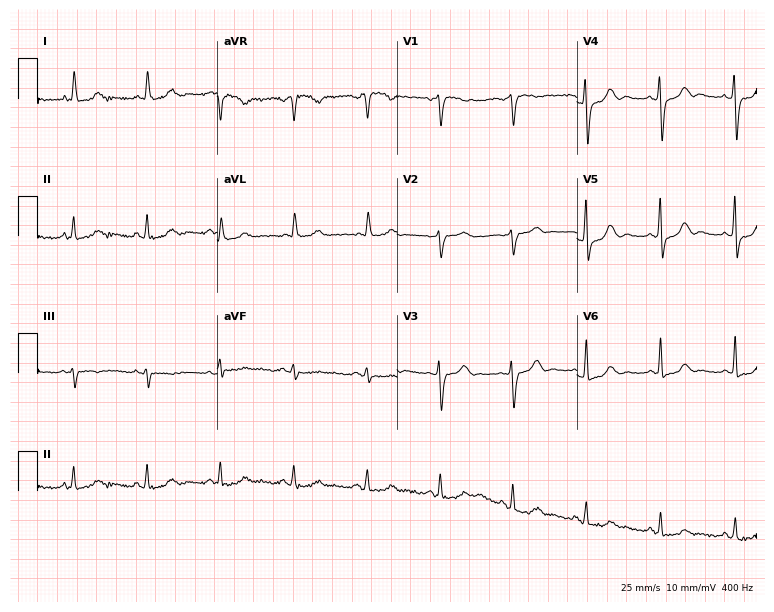
ECG — a female patient, 66 years old. Screened for six findings — first-degree AV block, right bundle branch block, left bundle branch block, sinus bradycardia, atrial fibrillation, sinus tachycardia — none is recorded.